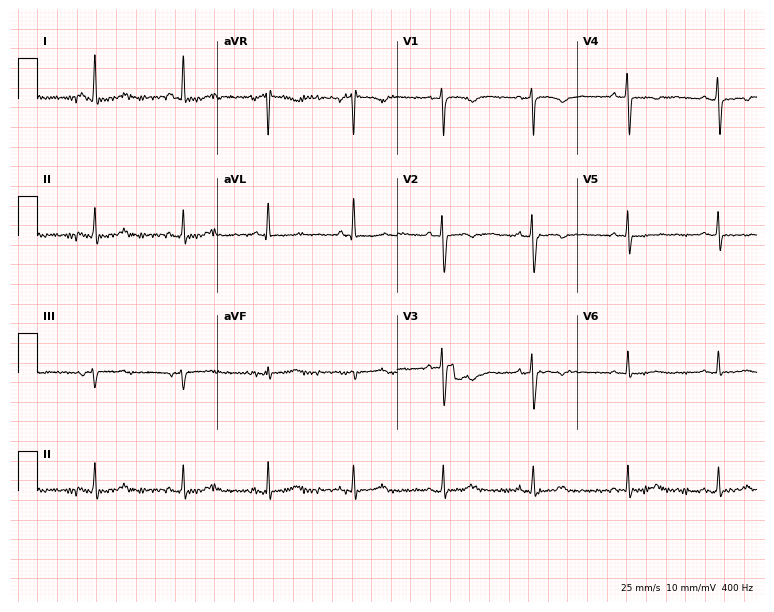
Resting 12-lead electrocardiogram (7.3-second recording at 400 Hz). Patient: a female, 69 years old. None of these six findings is recorded: first-degree AV block, right bundle branch block (RBBB), left bundle branch block (LBBB), sinus bradycardia, atrial fibrillation (AF), sinus tachycardia. Findings outside these six are not listed.